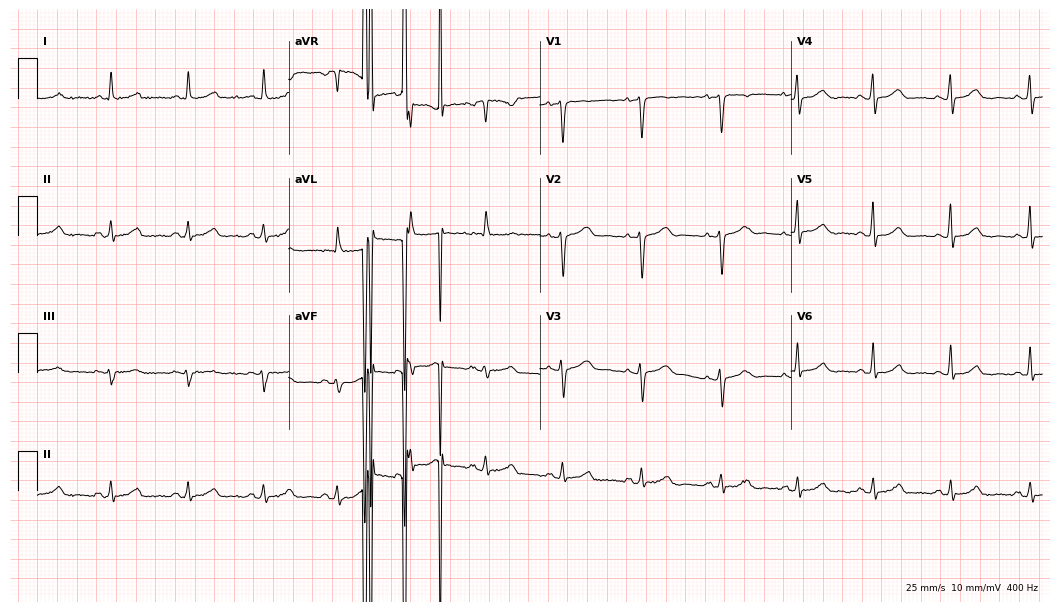
Resting 12-lead electrocardiogram (10.2-second recording at 400 Hz). Patient: a female, 42 years old. None of these six findings is recorded: first-degree AV block, right bundle branch block (RBBB), left bundle branch block (LBBB), sinus bradycardia, atrial fibrillation (AF), sinus tachycardia. Other findings, if any, are not listed.